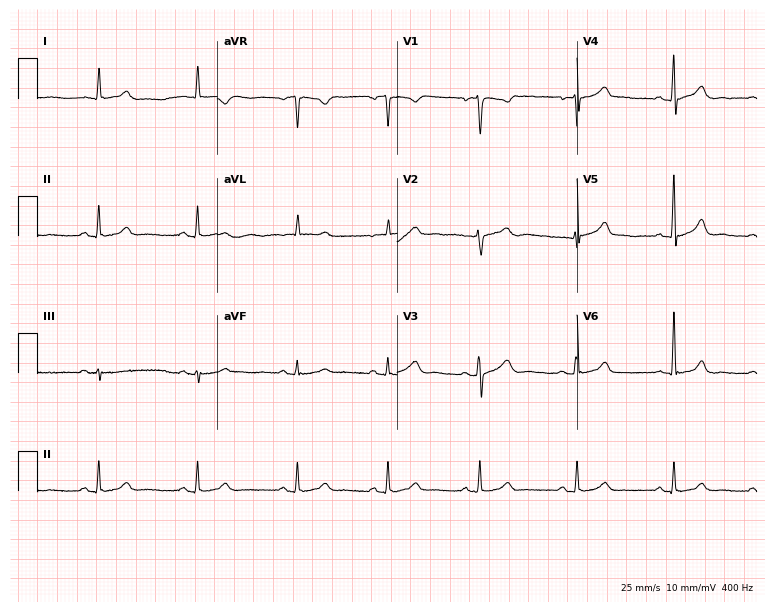
Resting 12-lead electrocardiogram. Patient: a female, 41 years old. None of these six findings is recorded: first-degree AV block, right bundle branch block, left bundle branch block, sinus bradycardia, atrial fibrillation, sinus tachycardia. Other findings, if any, are not listed.